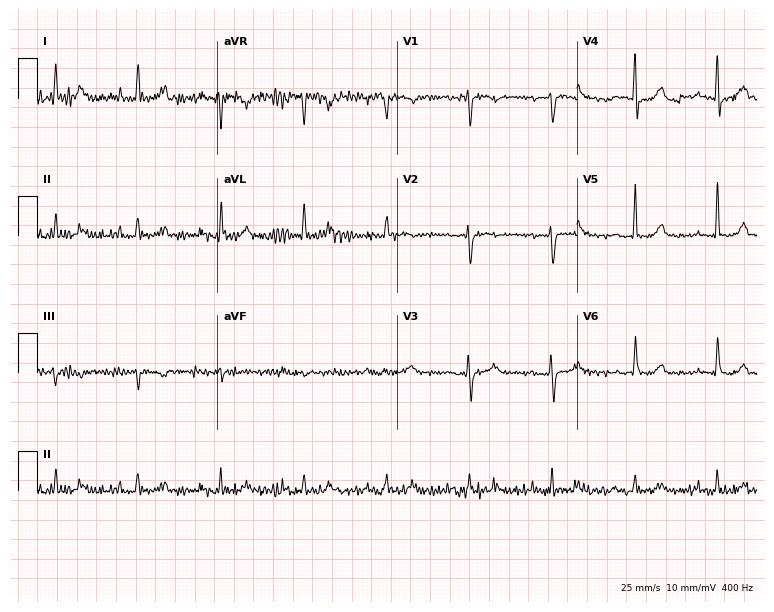
12-lead ECG (7.3-second recording at 400 Hz) from a female patient, 73 years old. Labelled as a normal ECG.